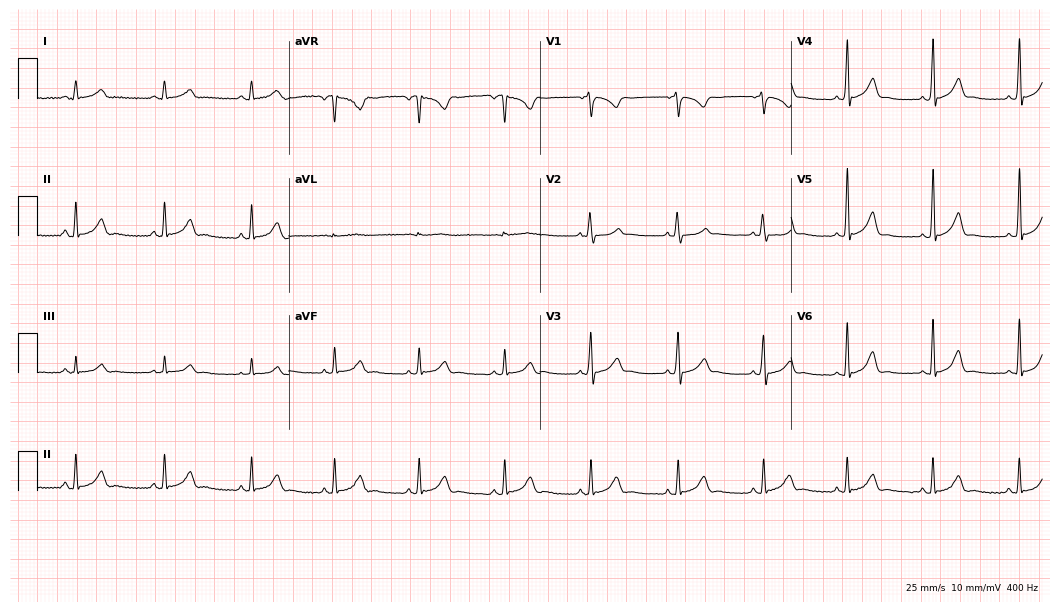
ECG — a female, 17 years old. Labelled as a normal ECG.